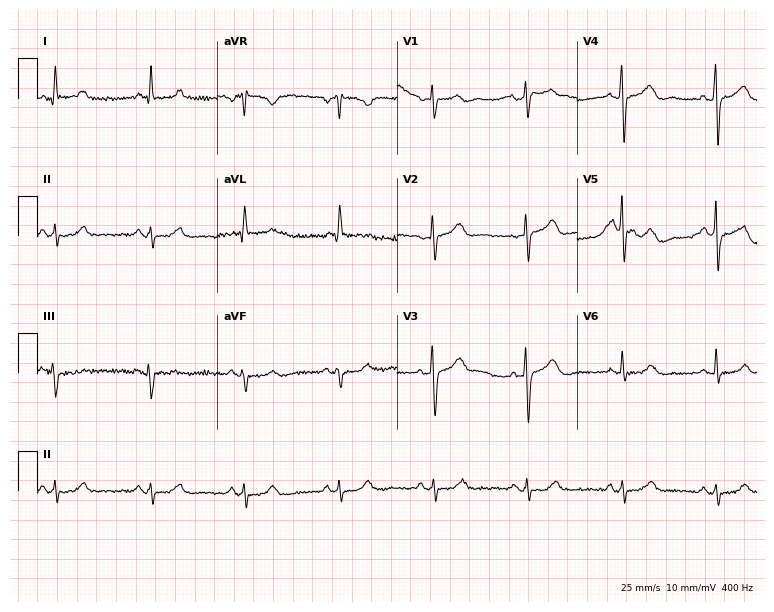
Electrocardiogram, a 54-year-old female patient. Of the six screened findings (first-degree AV block, right bundle branch block (RBBB), left bundle branch block (LBBB), sinus bradycardia, atrial fibrillation (AF), sinus tachycardia), none is recorded. Other findings, if any, are not listed.